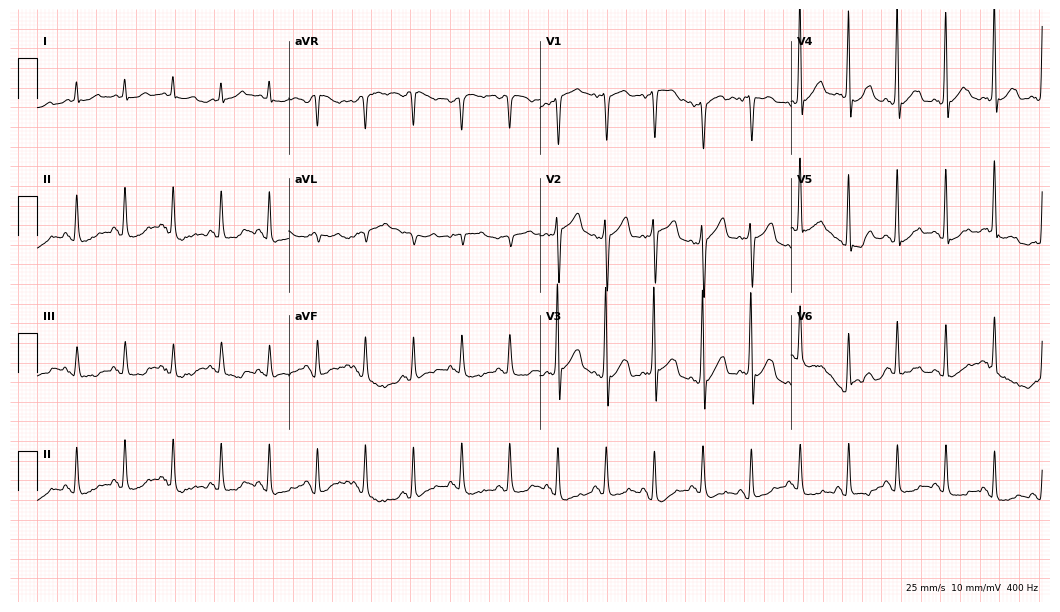
12-lead ECG (10.2-second recording at 400 Hz) from a male, 66 years old. Findings include sinus tachycardia (a sinus rate of 100 beats per minute or more).